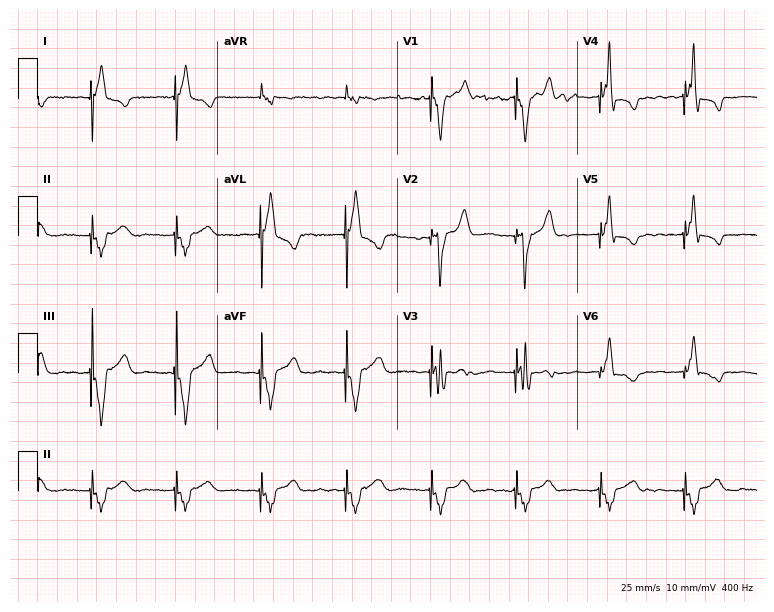
12-lead ECG from a female patient, 82 years old. Screened for six findings — first-degree AV block, right bundle branch block, left bundle branch block, sinus bradycardia, atrial fibrillation, sinus tachycardia — none is recorded. Only these six findings were labelled.